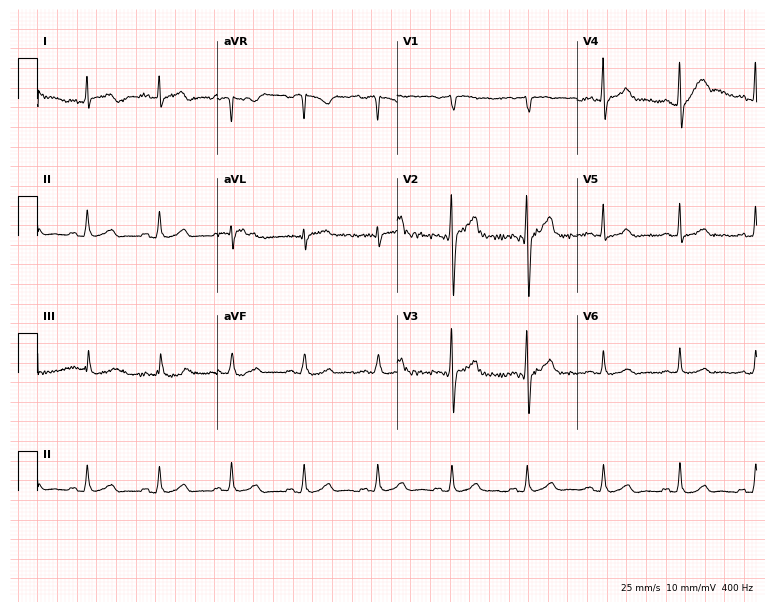
ECG (7.3-second recording at 400 Hz) — a male, 39 years old. Screened for six findings — first-degree AV block, right bundle branch block, left bundle branch block, sinus bradycardia, atrial fibrillation, sinus tachycardia — none is recorded.